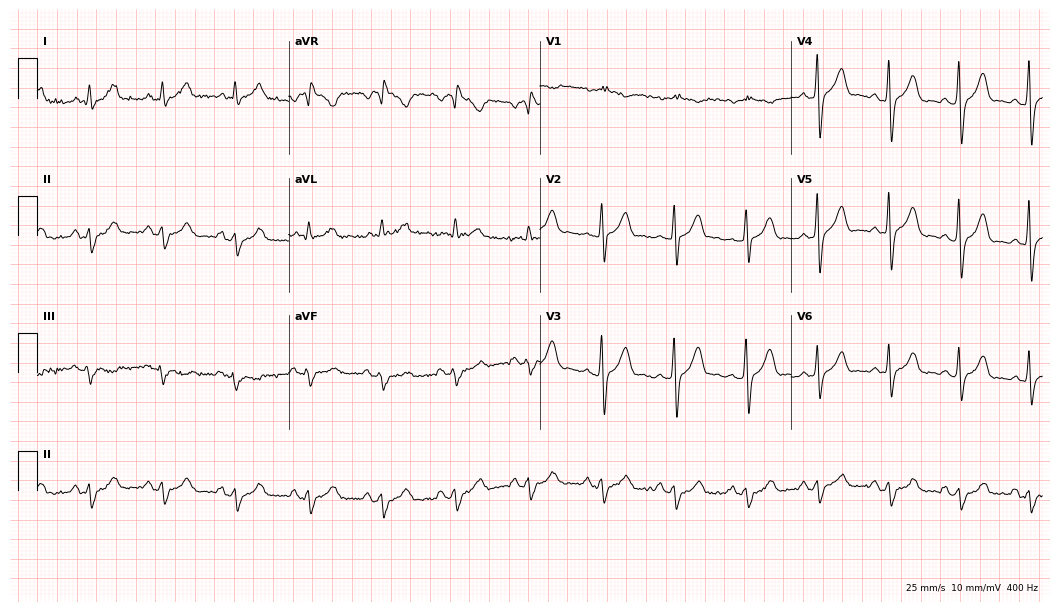
Resting 12-lead electrocardiogram (10.2-second recording at 400 Hz). Patient: a man, 48 years old. None of these six findings is recorded: first-degree AV block, right bundle branch block, left bundle branch block, sinus bradycardia, atrial fibrillation, sinus tachycardia. Only these six findings were labelled.